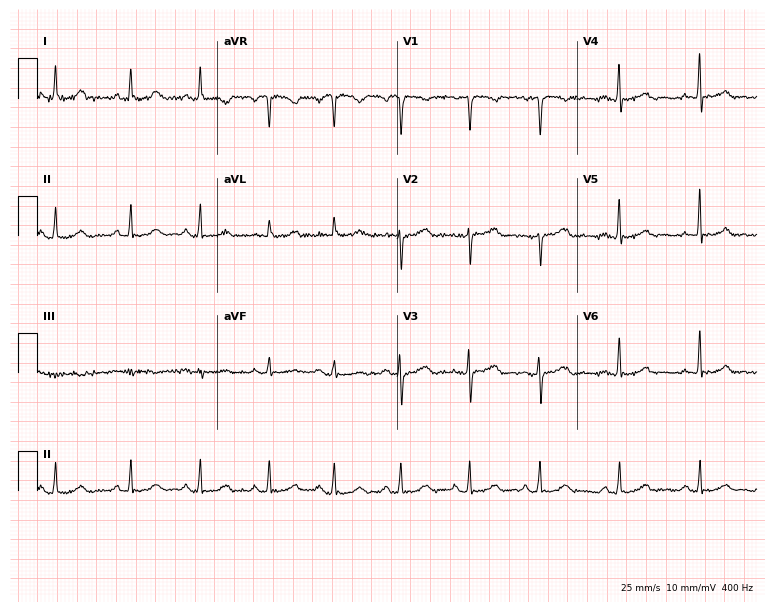
Resting 12-lead electrocardiogram (7.3-second recording at 400 Hz). Patient: a female, 36 years old. None of these six findings is recorded: first-degree AV block, right bundle branch block, left bundle branch block, sinus bradycardia, atrial fibrillation, sinus tachycardia.